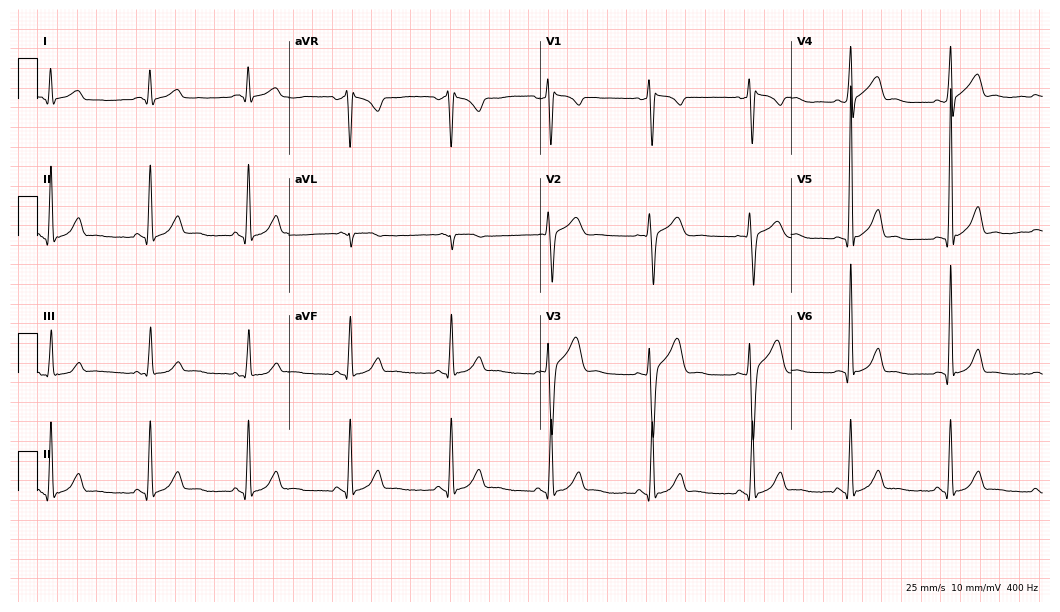
12-lead ECG from a male patient, 27 years old (10.2-second recording at 400 Hz). Recorded interpretation: within normal limits.